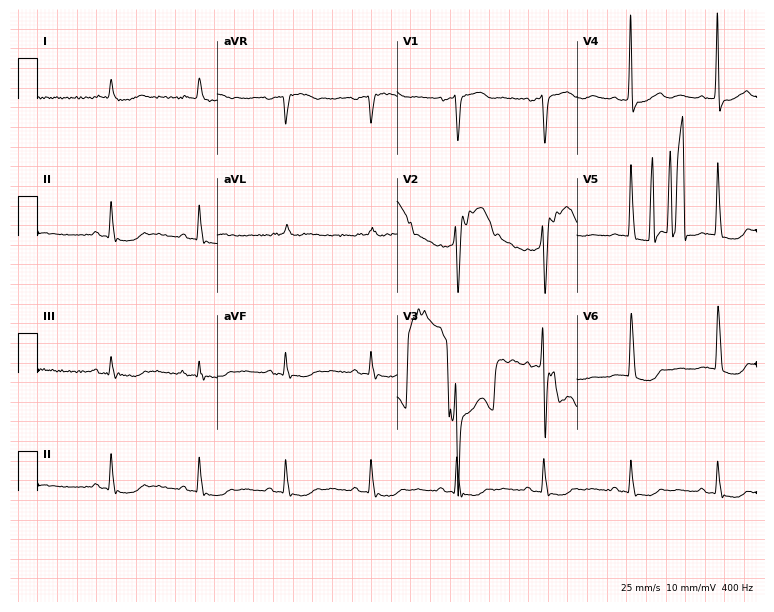
12-lead ECG from a 79-year-old female. Screened for six findings — first-degree AV block, right bundle branch block, left bundle branch block, sinus bradycardia, atrial fibrillation, sinus tachycardia — none is recorded.